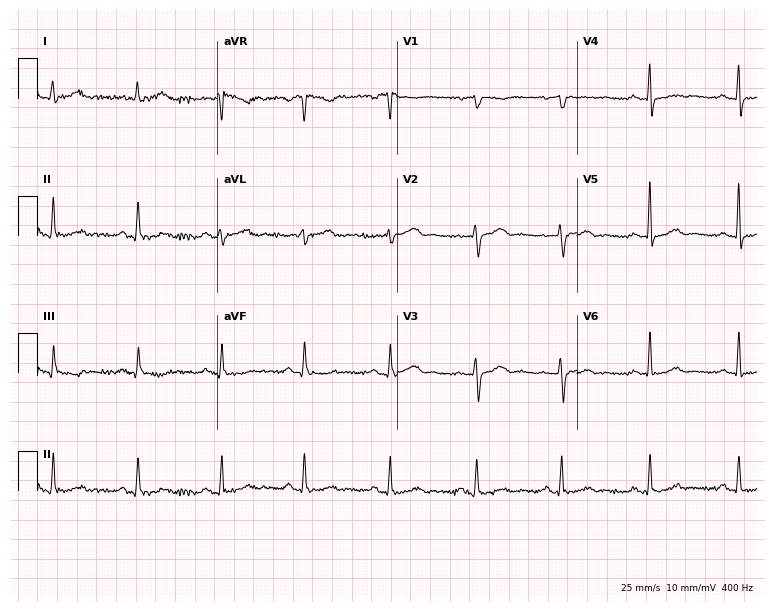
ECG — a woman, 73 years old. Labelled as a normal ECG.